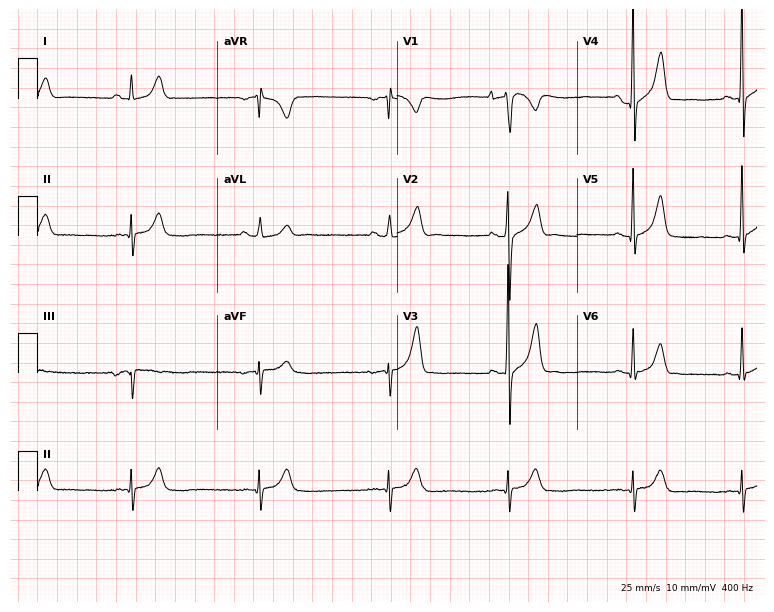
12-lead ECG from a 17-year-old male patient. Shows sinus bradycardia (a sinus rate of 50 beats per minute or less).